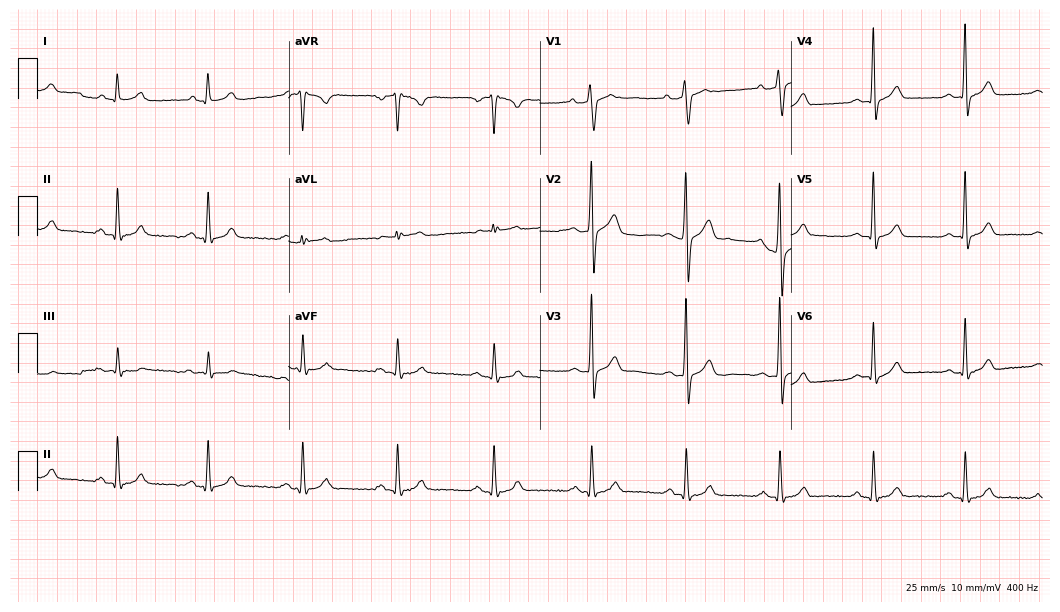
12-lead ECG from a 41-year-old male patient (10.2-second recording at 400 Hz). Recorded interpretation: within normal limits.